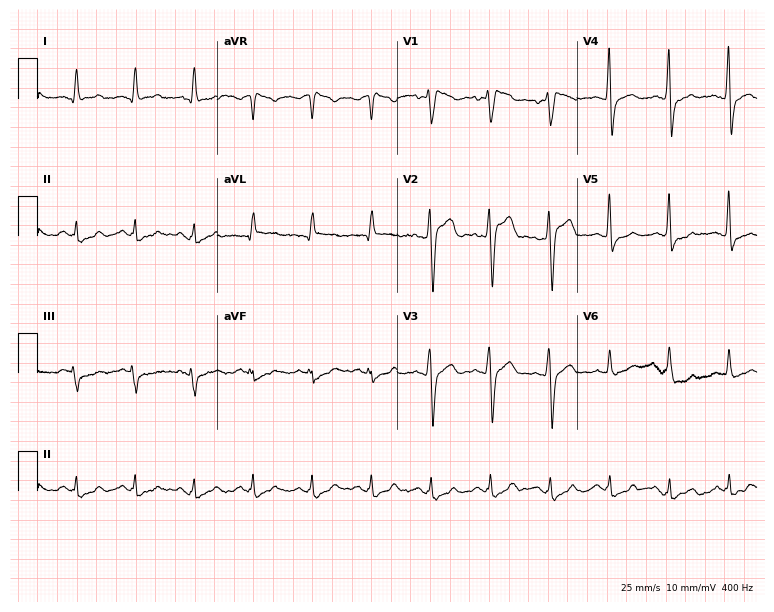
Electrocardiogram (7.3-second recording at 400 Hz), a male patient, 59 years old. Of the six screened findings (first-degree AV block, right bundle branch block, left bundle branch block, sinus bradycardia, atrial fibrillation, sinus tachycardia), none is recorded. Only these six findings were labelled.